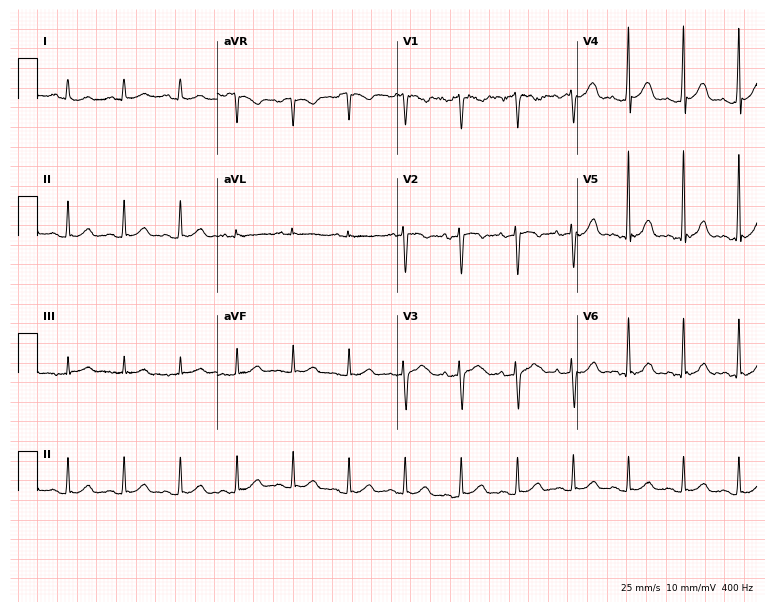
12-lead ECG from a female patient, 30 years old (7.3-second recording at 400 Hz). Shows sinus tachycardia (a sinus rate of 100 beats per minute or more).